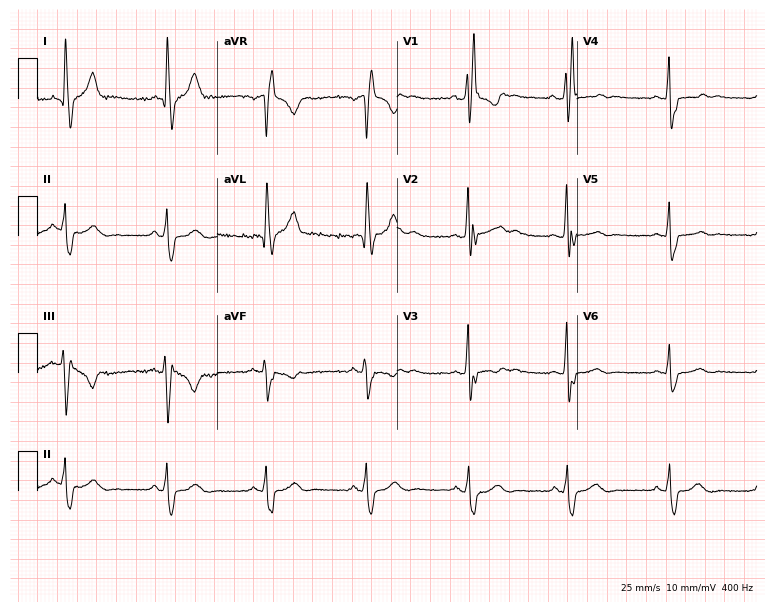
ECG — a male, 37 years old. Screened for six findings — first-degree AV block, right bundle branch block (RBBB), left bundle branch block (LBBB), sinus bradycardia, atrial fibrillation (AF), sinus tachycardia — none is recorded. Only these six findings were labelled.